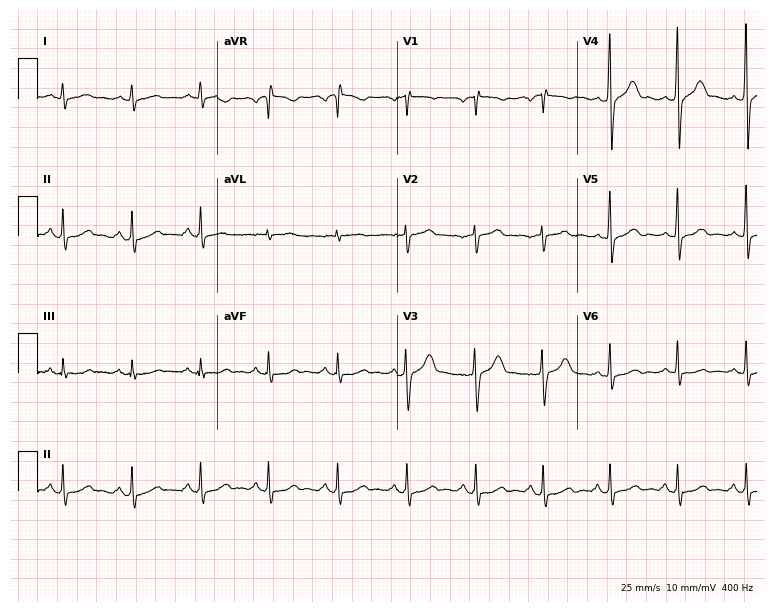
ECG (7.3-second recording at 400 Hz) — a man, 57 years old. Labelled as a normal ECG.